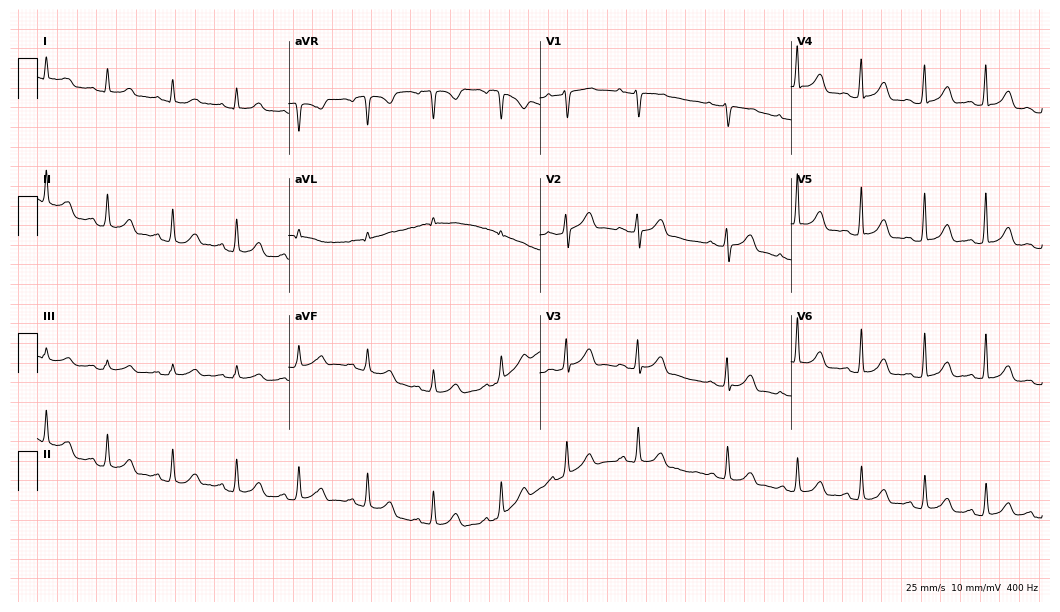
Electrocardiogram (10.2-second recording at 400 Hz), a female, 22 years old. Overall reading on record: normal ECG.